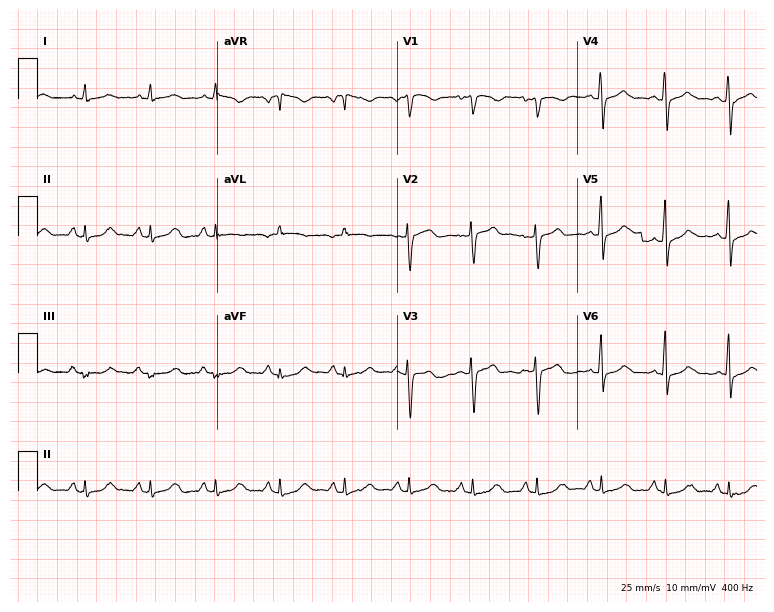
12-lead ECG from a female patient, 57 years old (7.3-second recording at 400 Hz). Recorded interpretation: within normal limits.